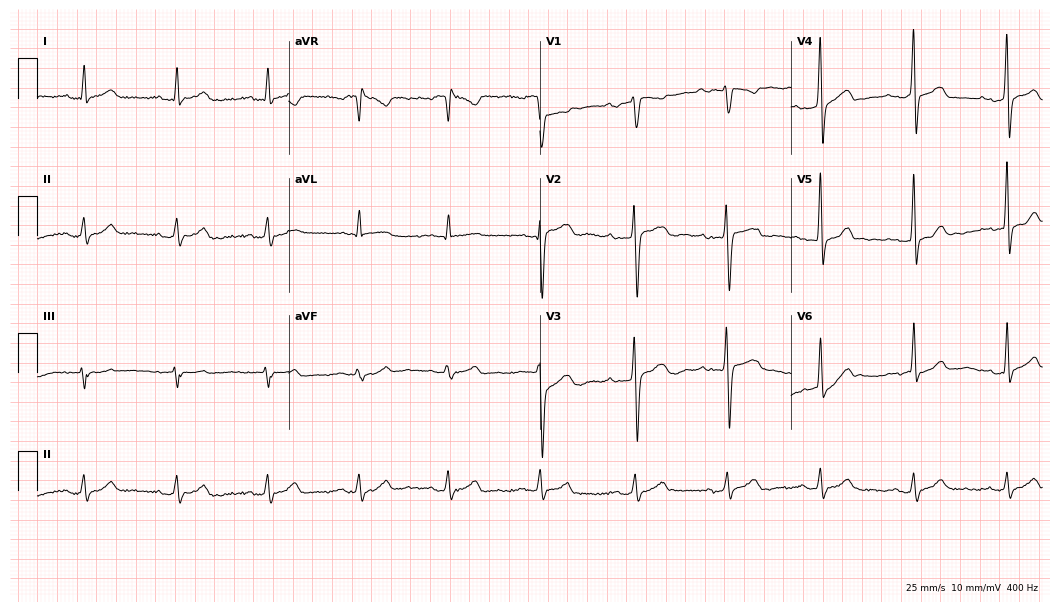
12-lead ECG from a male, 32 years old. Screened for six findings — first-degree AV block, right bundle branch block, left bundle branch block, sinus bradycardia, atrial fibrillation, sinus tachycardia — none is recorded.